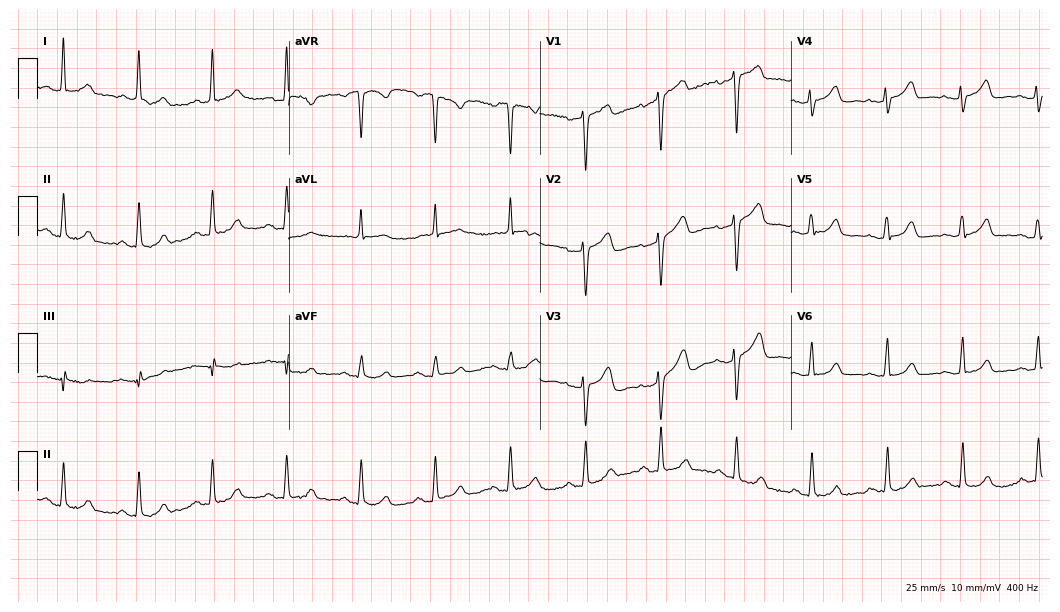
Electrocardiogram (10.2-second recording at 400 Hz), a 53-year-old female patient. Overall reading on record: normal ECG.